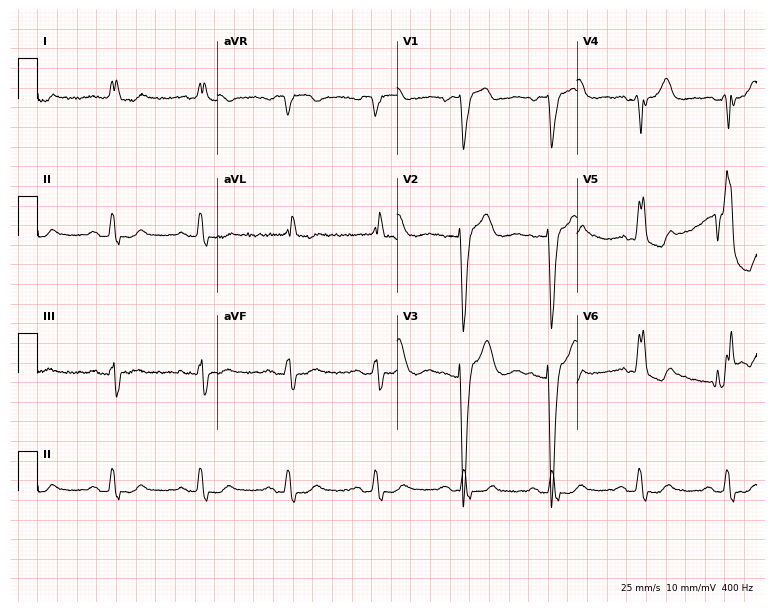
12-lead ECG from an 85-year-old female (7.3-second recording at 400 Hz). Shows left bundle branch block.